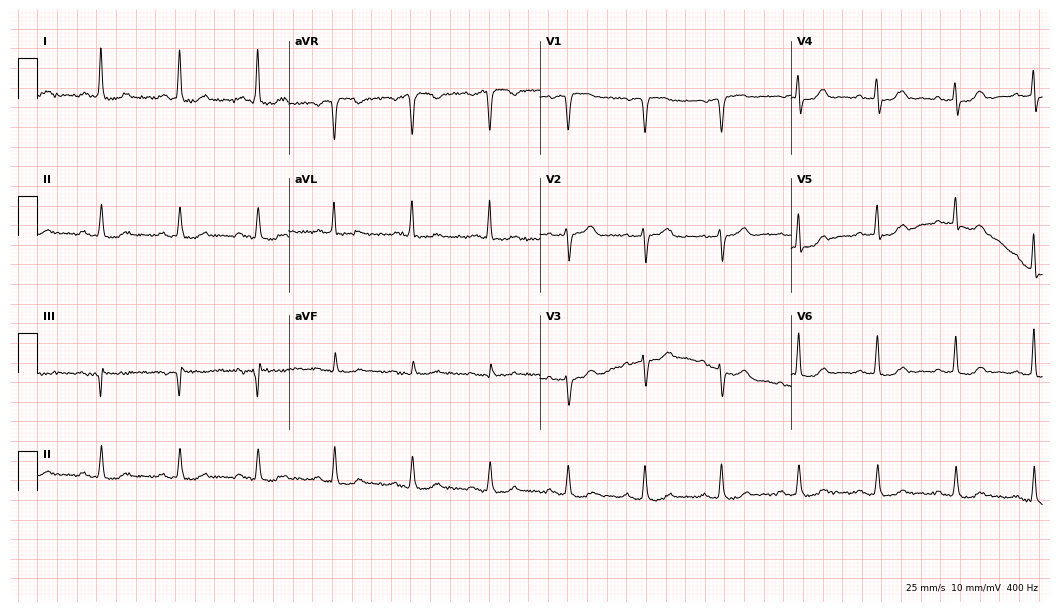
Resting 12-lead electrocardiogram (10.2-second recording at 400 Hz). Patient: a female, 72 years old. Read as a normal ECG.